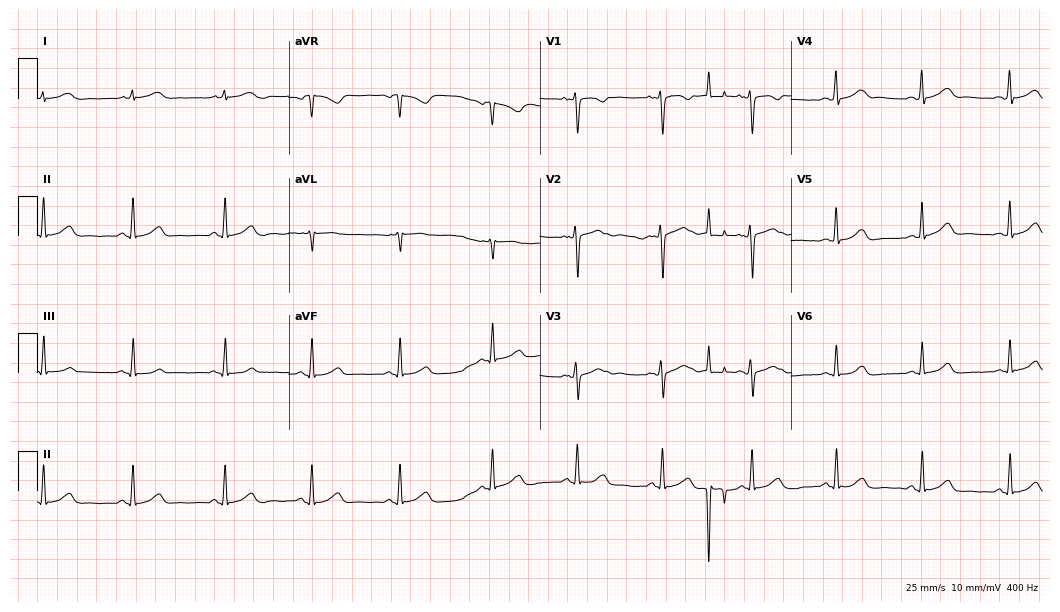
Electrocardiogram (10.2-second recording at 400 Hz), a woman, 31 years old. Overall reading on record: normal ECG.